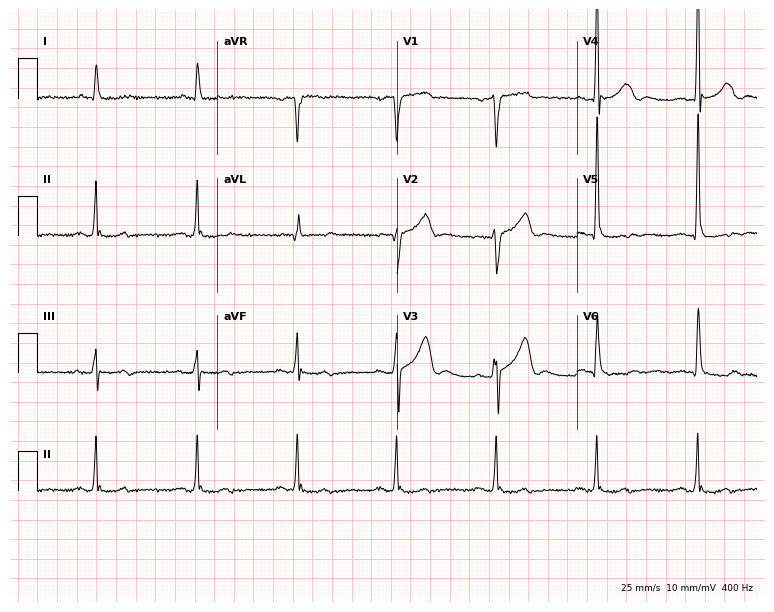
Electrocardiogram, a 64-year-old man. Of the six screened findings (first-degree AV block, right bundle branch block (RBBB), left bundle branch block (LBBB), sinus bradycardia, atrial fibrillation (AF), sinus tachycardia), none is recorded.